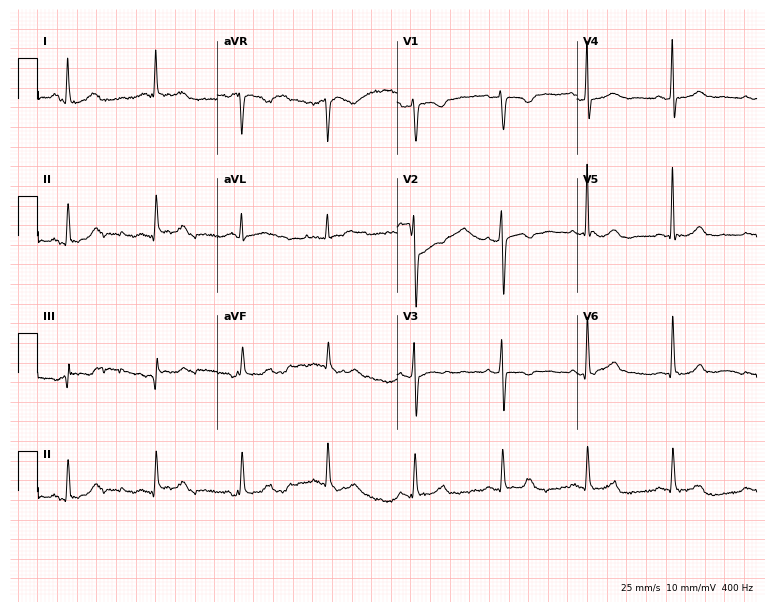
Resting 12-lead electrocardiogram (7.3-second recording at 400 Hz). Patient: a 58-year-old female. None of these six findings is recorded: first-degree AV block, right bundle branch block (RBBB), left bundle branch block (LBBB), sinus bradycardia, atrial fibrillation (AF), sinus tachycardia. Other findings, if any, are not listed.